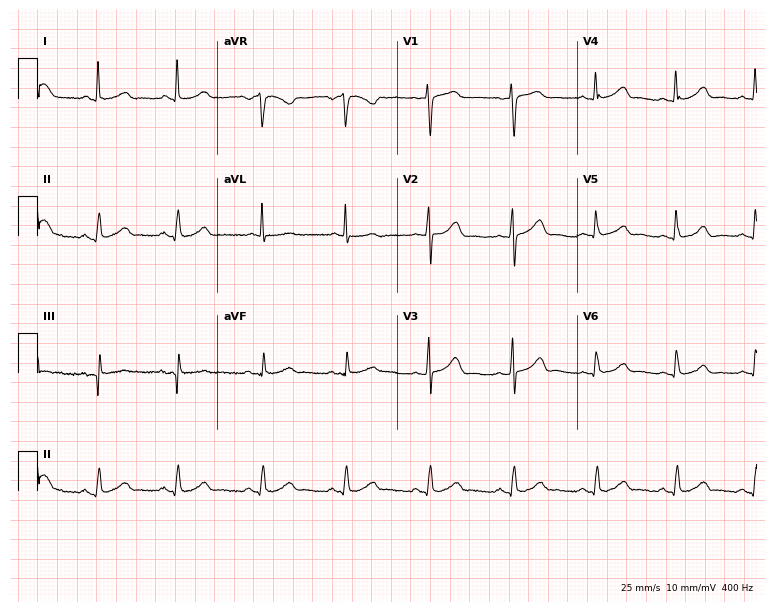
Standard 12-lead ECG recorded from a 42-year-old female patient (7.3-second recording at 400 Hz). Read as a normal ECG.